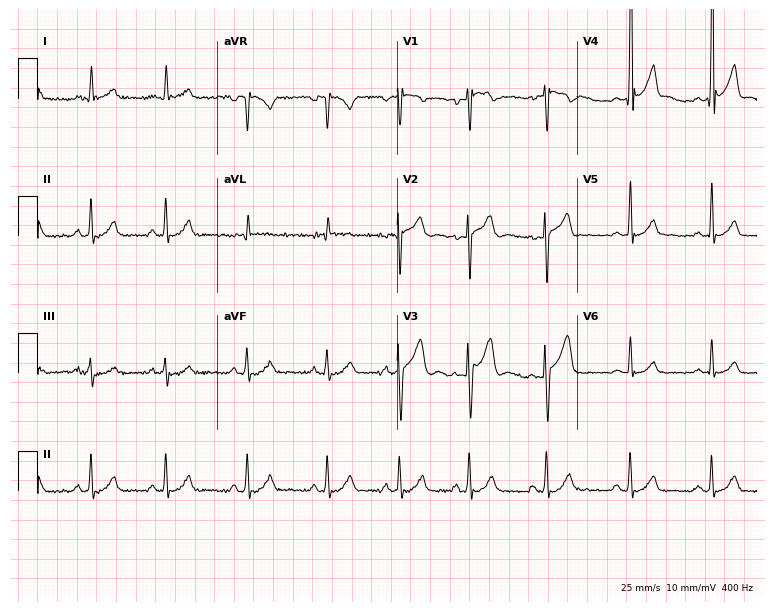
ECG (7.3-second recording at 400 Hz) — a male patient, 24 years old. Screened for six findings — first-degree AV block, right bundle branch block, left bundle branch block, sinus bradycardia, atrial fibrillation, sinus tachycardia — none is recorded.